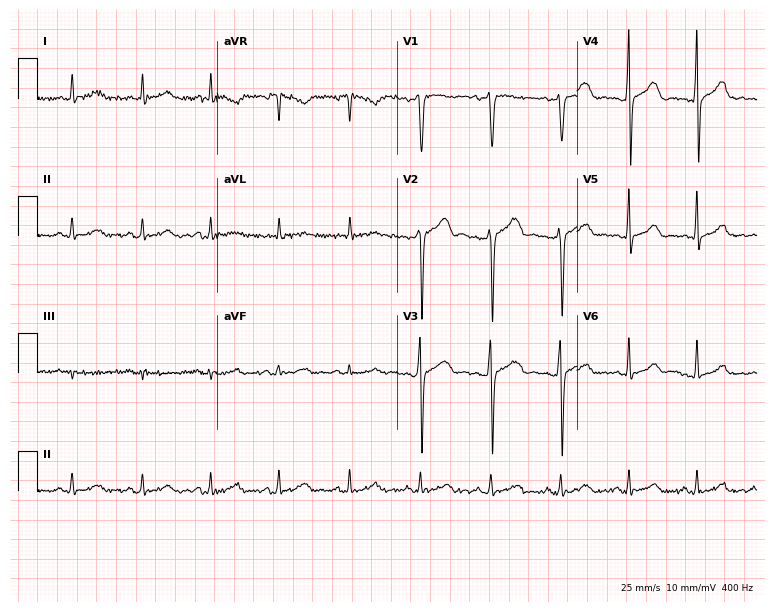
ECG (7.3-second recording at 400 Hz) — a male patient, 49 years old. Labelled as a normal ECG.